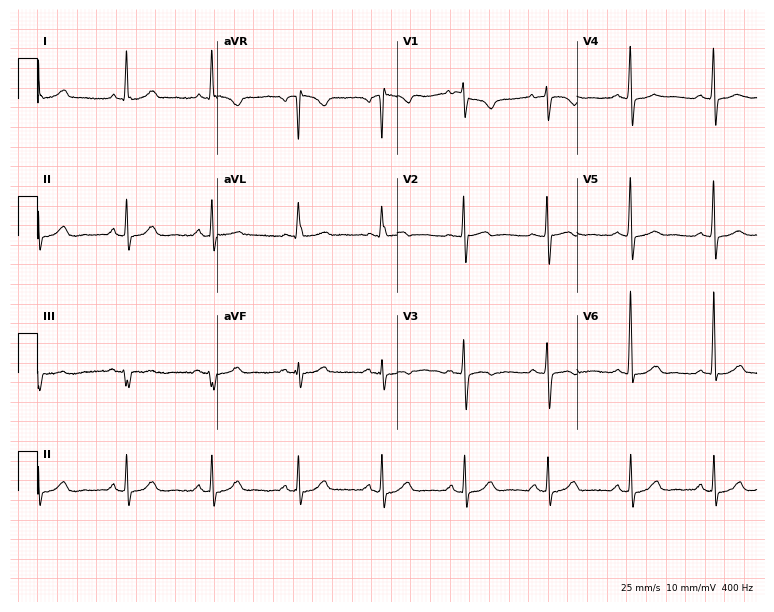
Standard 12-lead ECG recorded from a woman, 60 years old. None of these six findings is recorded: first-degree AV block, right bundle branch block, left bundle branch block, sinus bradycardia, atrial fibrillation, sinus tachycardia.